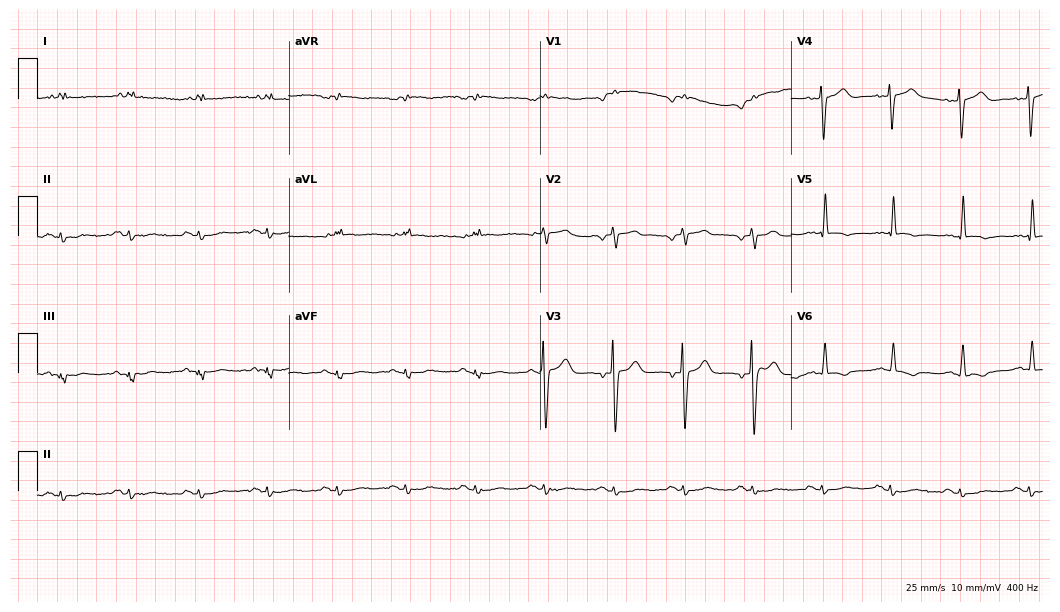
12-lead ECG from a man, 47 years old. No first-degree AV block, right bundle branch block, left bundle branch block, sinus bradycardia, atrial fibrillation or sinus tachycardia recorded for this tracing.